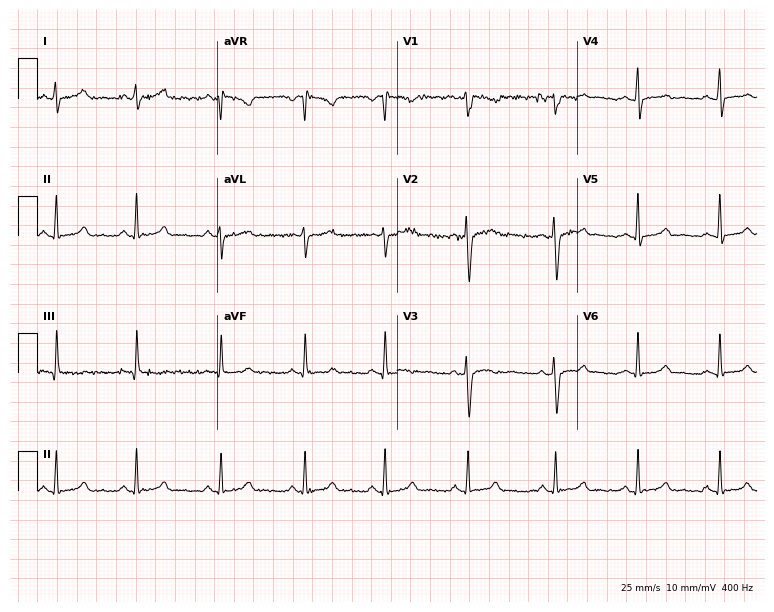
Standard 12-lead ECG recorded from a 22-year-old female patient (7.3-second recording at 400 Hz). Read as a normal ECG.